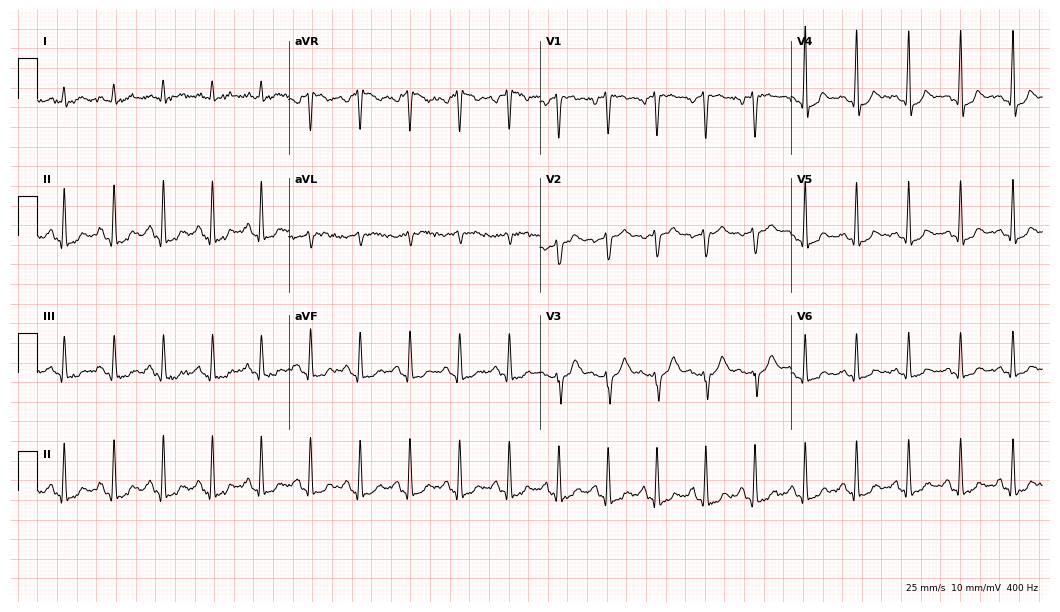
Standard 12-lead ECG recorded from a 33-year-old female patient (10.2-second recording at 400 Hz). The tracing shows sinus tachycardia (a sinus rate of 100 beats per minute or more).